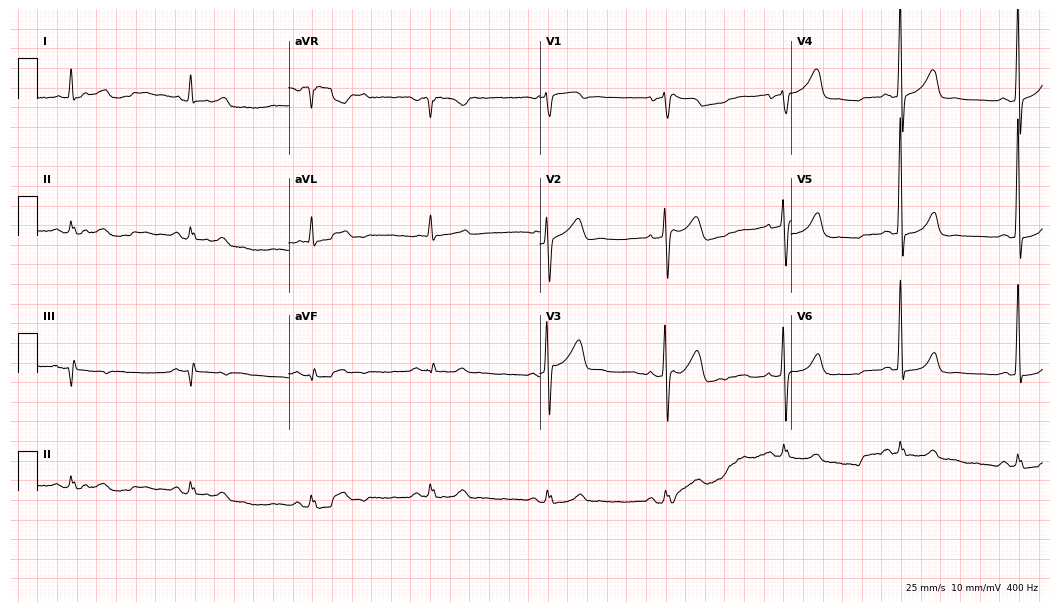
Standard 12-lead ECG recorded from a 77-year-old male patient. None of these six findings is recorded: first-degree AV block, right bundle branch block, left bundle branch block, sinus bradycardia, atrial fibrillation, sinus tachycardia. Only these six findings were labelled.